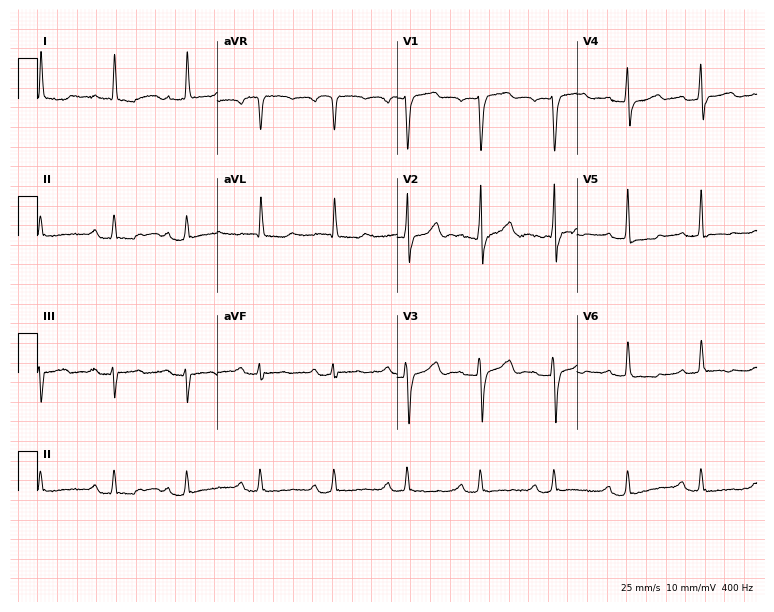
ECG — a female patient, 81 years old. Screened for six findings — first-degree AV block, right bundle branch block, left bundle branch block, sinus bradycardia, atrial fibrillation, sinus tachycardia — none is recorded.